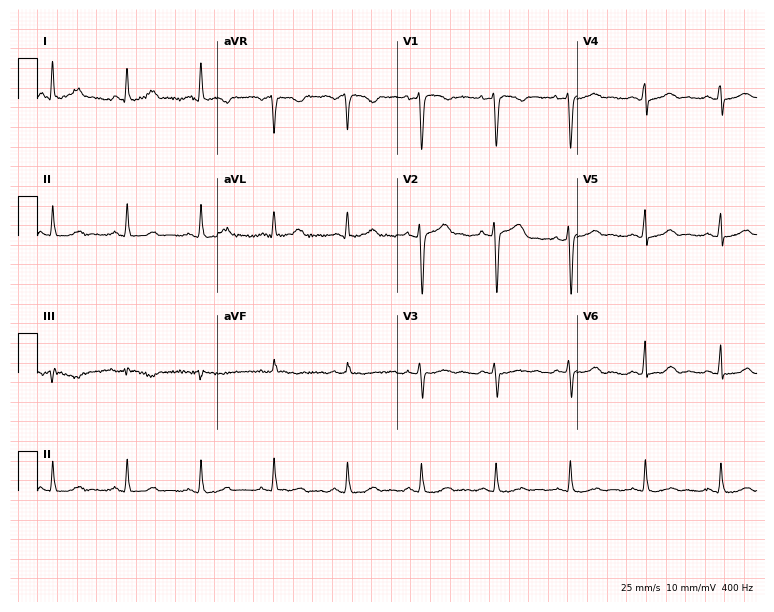
Electrocardiogram (7.3-second recording at 400 Hz), a 34-year-old female. Overall reading on record: normal ECG.